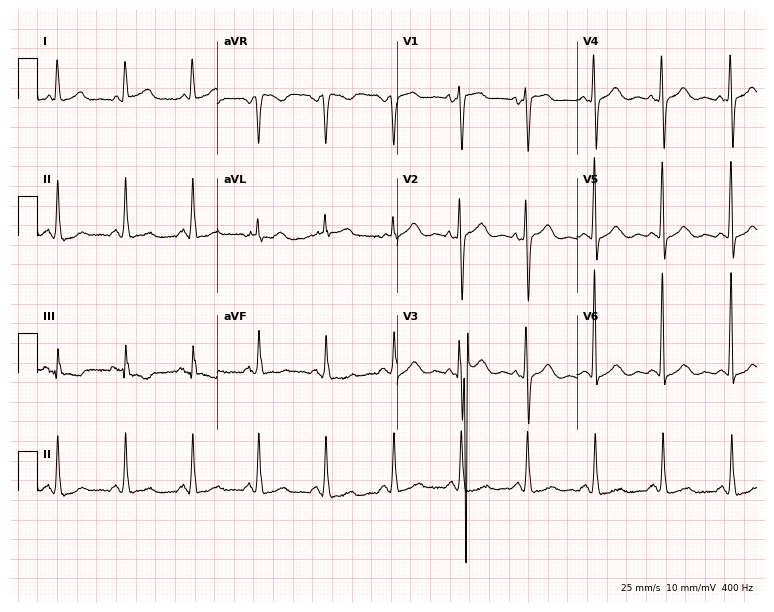
Resting 12-lead electrocardiogram. Patient: a 75-year-old woman. None of these six findings is recorded: first-degree AV block, right bundle branch block, left bundle branch block, sinus bradycardia, atrial fibrillation, sinus tachycardia.